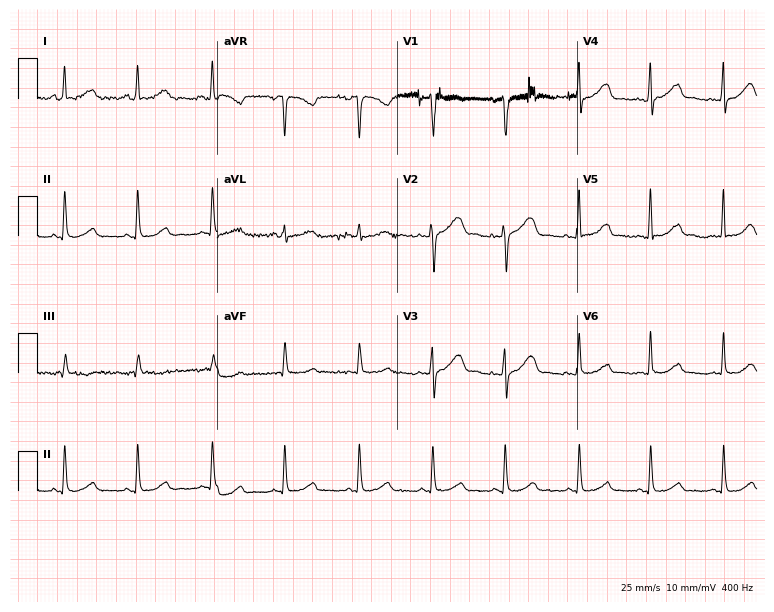
12-lead ECG from a 42-year-old female patient. Recorded interpretation: within normal limits.